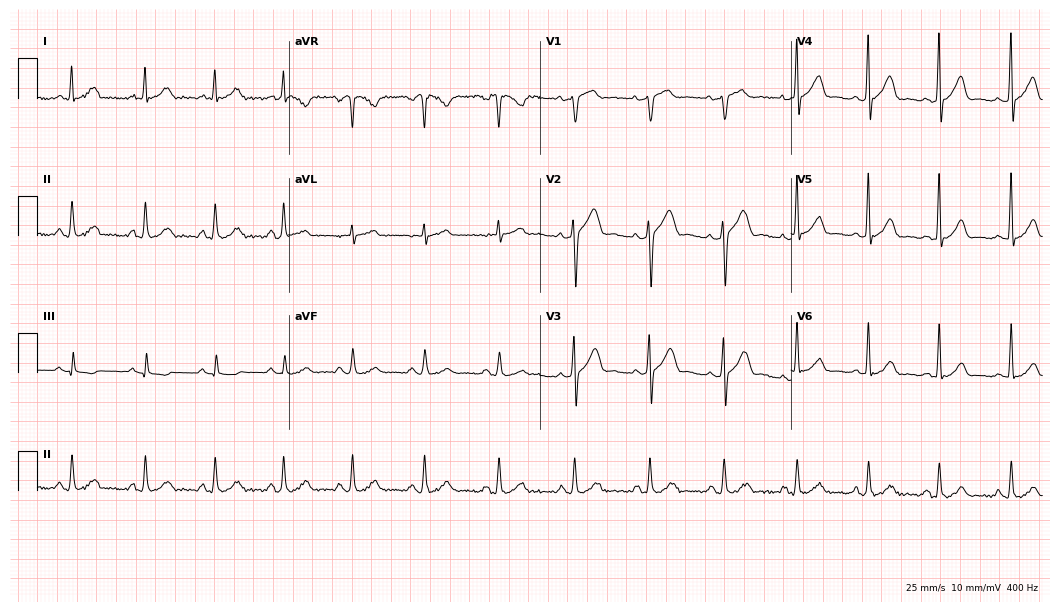
Electrocardiogram (10.2-second recording at 400 Hz), a man, 43 years old. Of the six screened findings (first-degree AV block, right bundle branch block, left bundle branch block, sinus bradycardia, atrial fibrillation, sinus tachycardia), none is recorded. Findings outside these six are not listed.